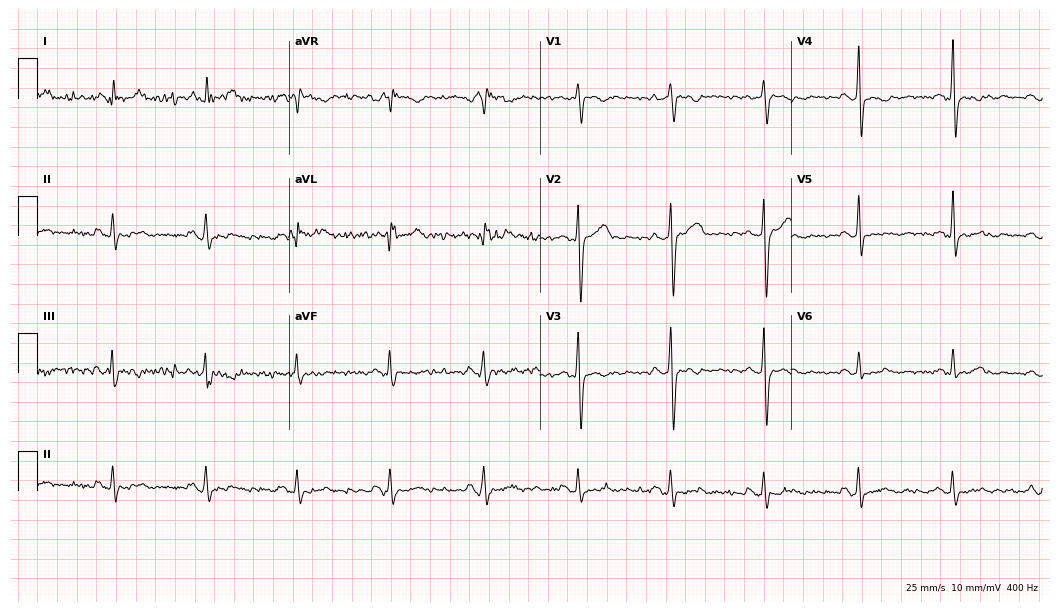
12-lead ECG from a man, 49 years old (10.2-second recording at 400 Hz). No first-degree AV block, right bundle branch block, left bundle branch block, sinus bradycardia, atrial fibrillation or sinus tachycardia recorded for this tracing.